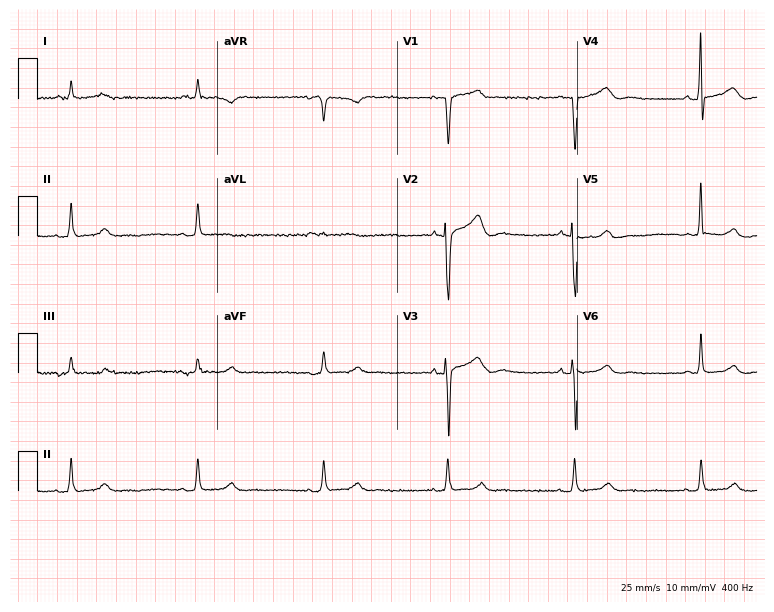
Resting 12-lead electrocardiogram (7.3-second recording at 400 Hz). Patient: an 83-year-old male. The tracing shows sinus bradycardia (a sinus rate of 50 beats per minute or less).